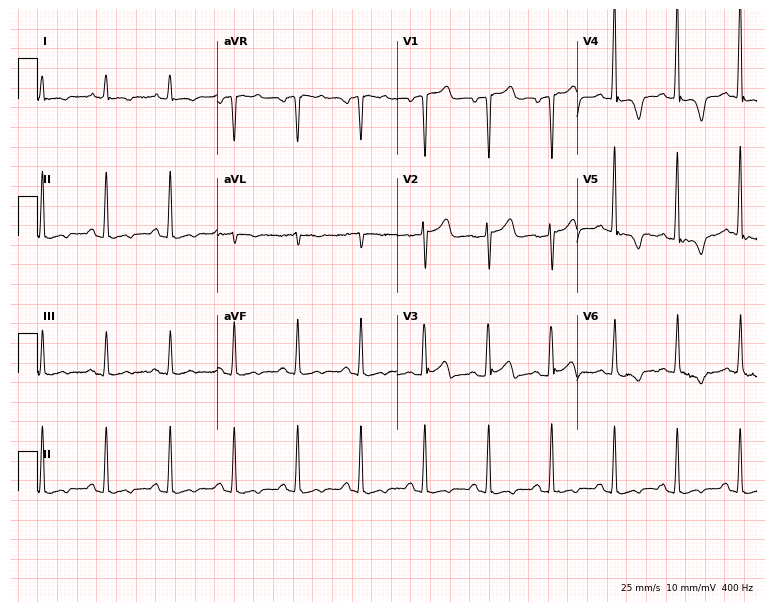
12-lead ECG (7.3-second recording at 400 Hz) from a 50-year-old male patient. Screened for six findings — first-degree AV block, right bundle branch block, left bundle branch block, sinus bradycardia, atrial fibrillation, sinus tachycardia — none is recorded.